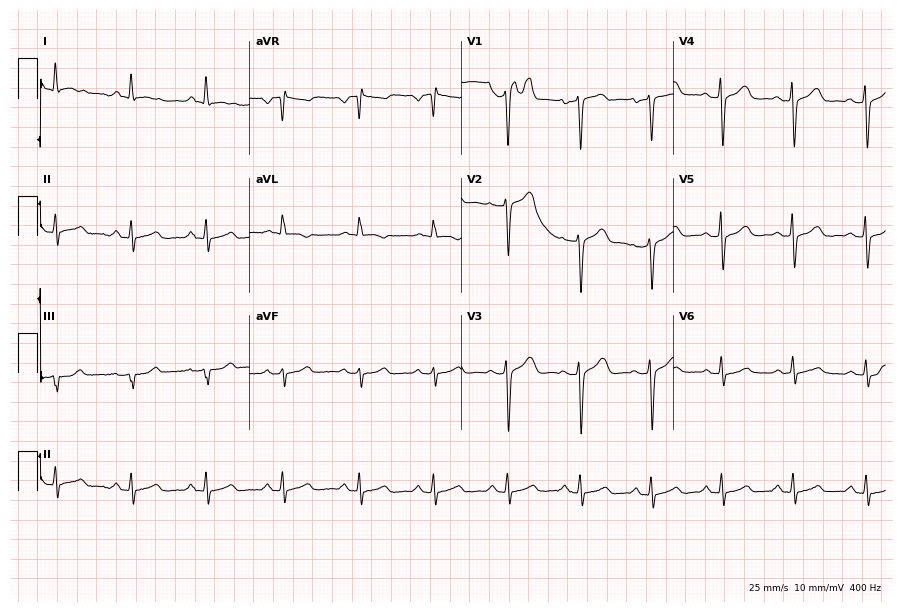
12-lead ECG (8.6-second recording at 400 Hz) from a 59-year-old female. Screened for six findings — first-degree AV block, right bundle branch block, left bundle branch block, sinus bradycardia, atrial fibrillation, sinus tachycardia — none is recorded. Only these six findings were labelled.